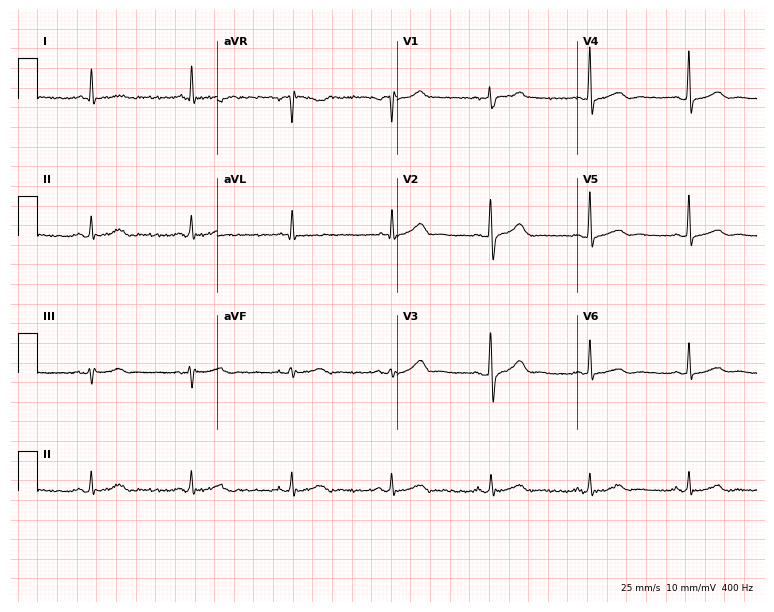
12-lead ECG from a male patient, 58 years old. Screened for six findings — first-degree AV block, right bundle branch block, left bundle branch block, sinus bradycardia, atrial fibrillation, sinus tachycardia — none is recorded.